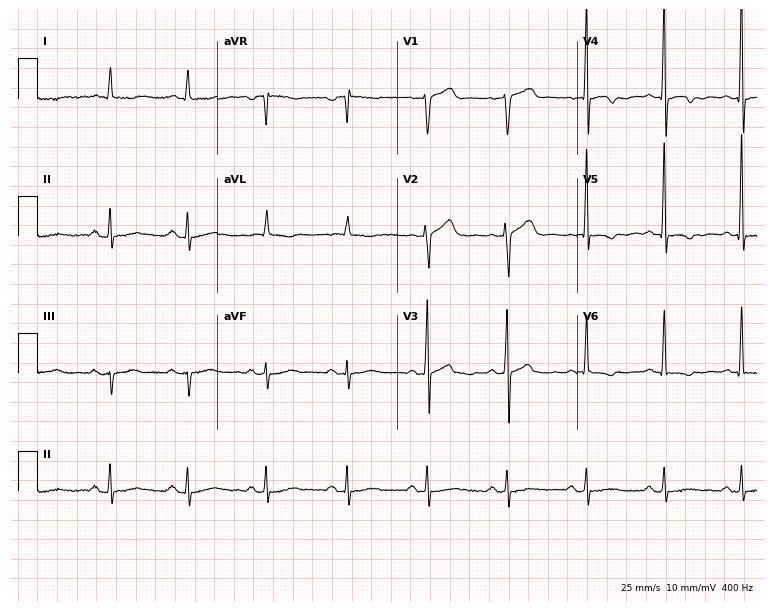
ECG (7.3-second recording at 400 Hz) — a male, 61 years old. Screened for six findings — first-degree AV block, right bundle branch block, left bundle branch block, sinus bradycardia, atrial fibrillation, sinus tachycardia — none is recorded.